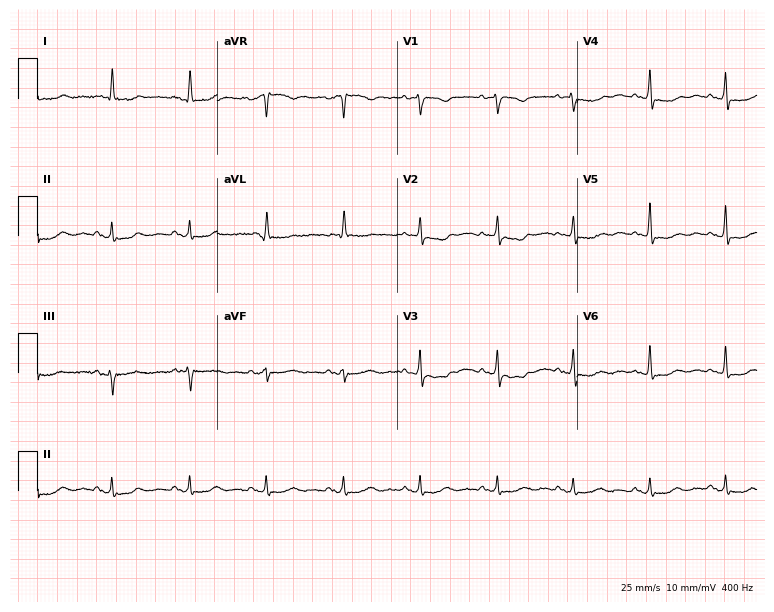
Electrocardiogram, a woman, 80 years old. Overall reading on record: normal ECG.